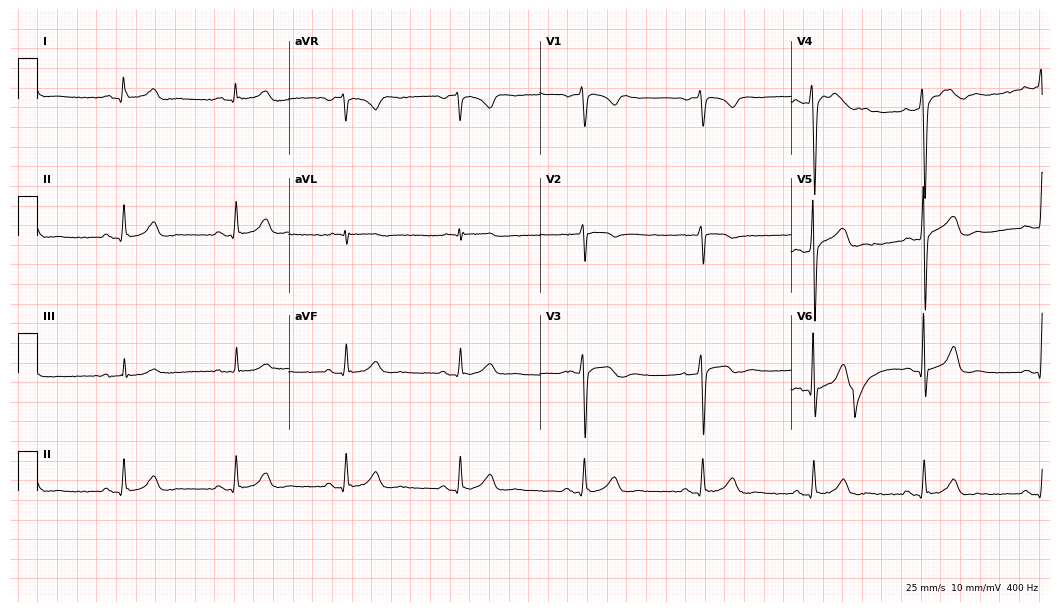
ECG (10.2-second recording at 400 Hz) — a male patient, 44 years old. Labelled as a normal ECG.